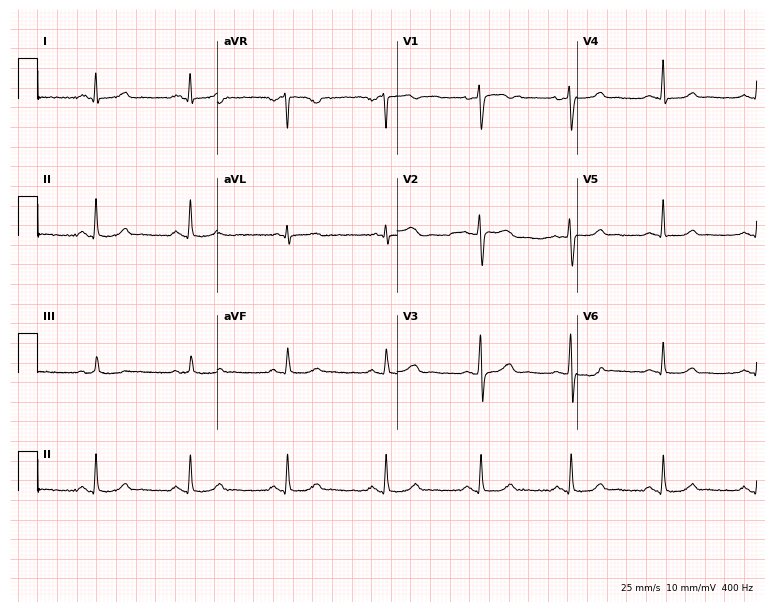
Resting 12-lead electrocardiogram. Patient: a 39-year-old female. Read as a normal ECG.